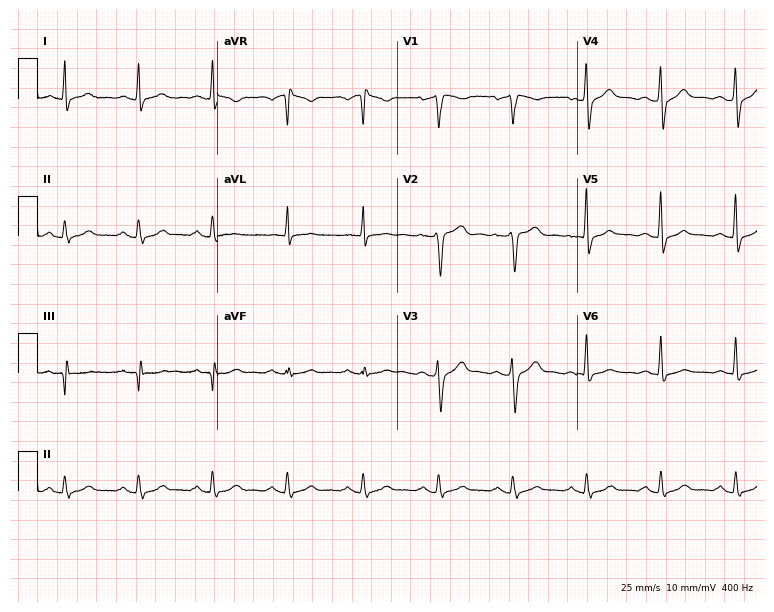
12-lead ECG from a male, 58 years old (7.3-second recording at 400 Hz). No first-degree AV block, right bundle branch block (RBBB), left bundle branch block (LBBB), sinus bradycardia, atrial fibrillation (AF) or sinus tachycardia recorded for this tracing. Findings outside these six are not listed.